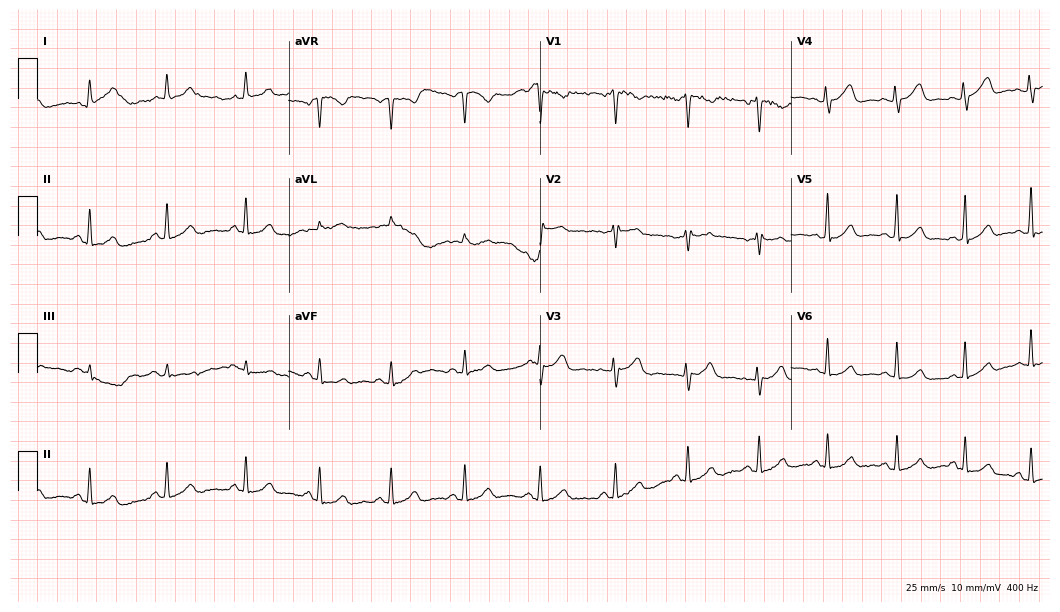
Resting 12-lead electrocardiogram. Patient: a female, 43 years old. Read as a normal ECG.